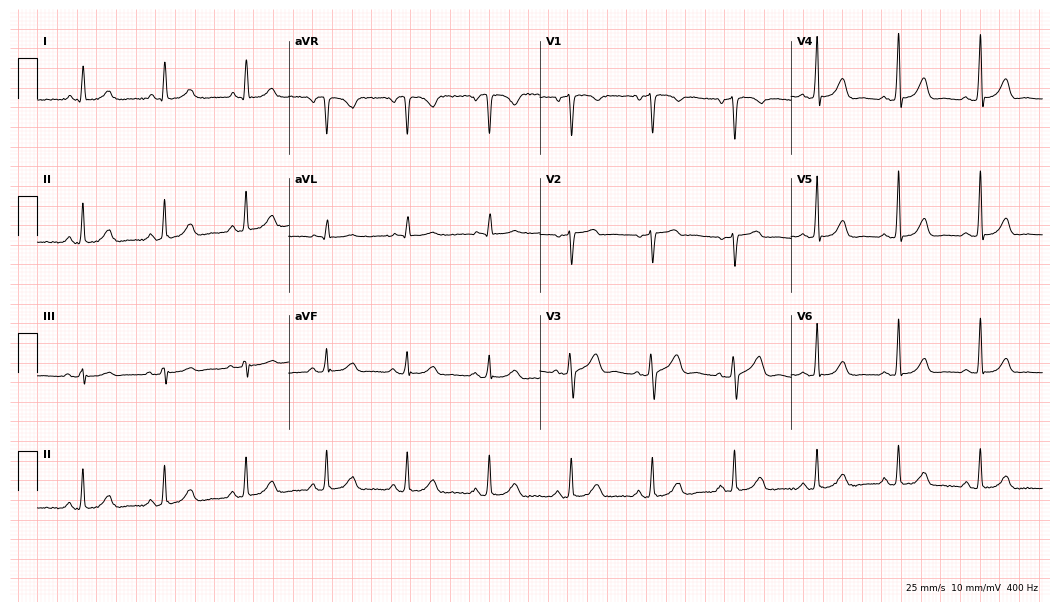
ECG (10.2-second recording at 400 Hz) — a 73-year-old woman. Screened for six findings — first-degree AV block, right bundle branch block, left bundle branch block, sinus bradycardia, atrial fibrillation, sinus tachycardia — none is recorded. Only these six findings were labelled.